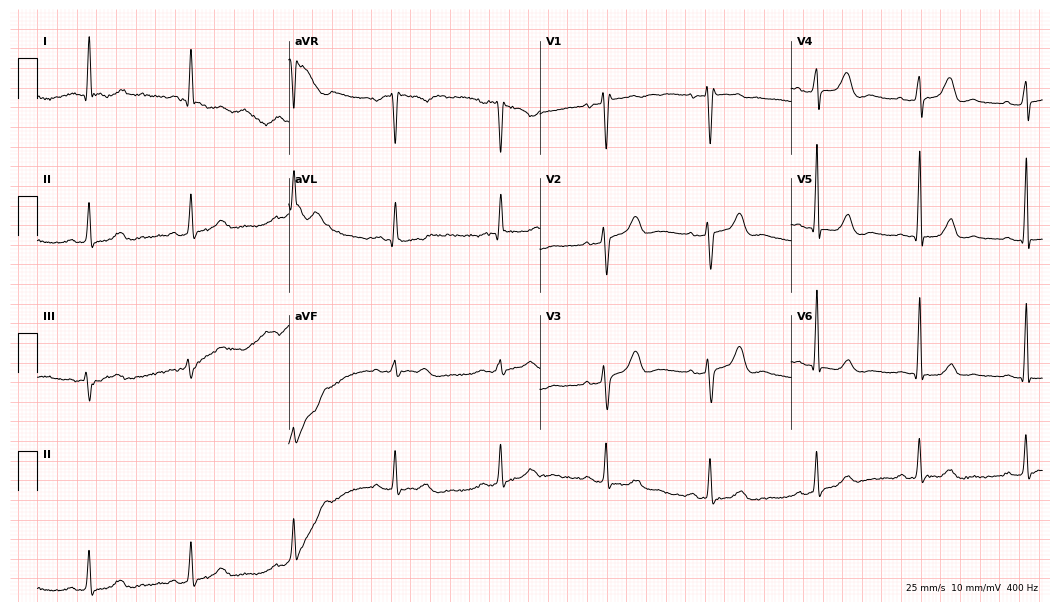
Electrocardiogram, a female, 56 years old. Of the six screened findings (first-degree AV block, right bundle branch block, left bundle branch block, sinus bradycardia, atrial fibrillation, sinus tachycardia), none is recorded.